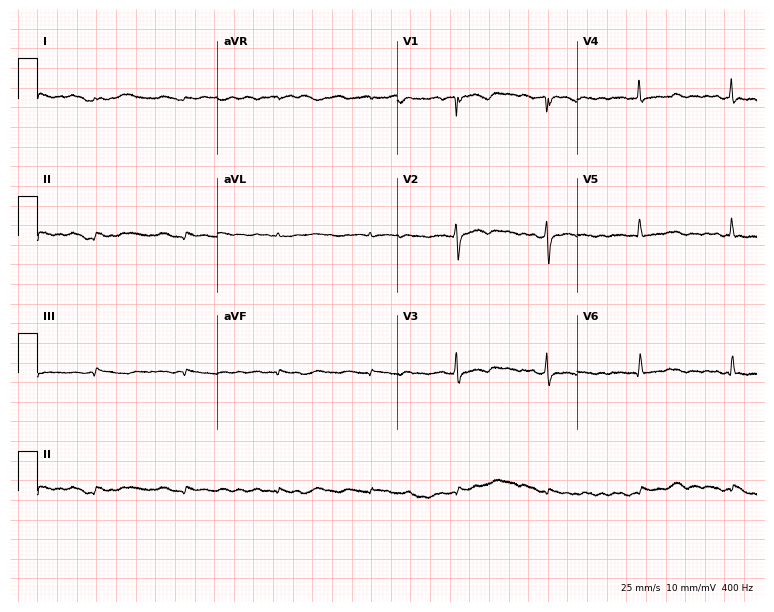
Resting 12-lead electrocardiogram (7.3-second recording at 400 Hz). Patient: a woman, 51 years old. None of these six findings is recorded: first-degree AV block, right bundle branch block, left bundle branch block, sinus bradycardia, atrial fibrillation, sinus tachycardia. Other findings, if any, are not listed.